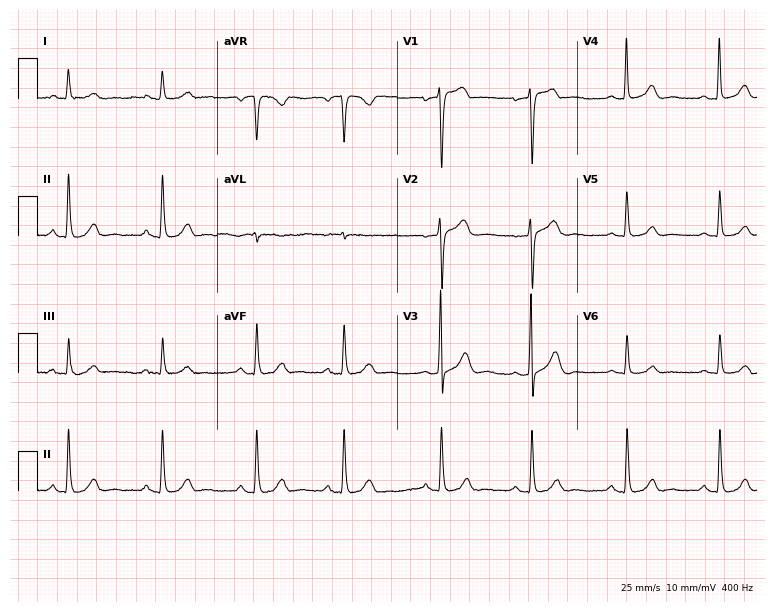
Resting 12-lead electrocardiogram (7.3-second recording at 400 Hz). Patient: a male, 49 years old. Read as a normal ECG.